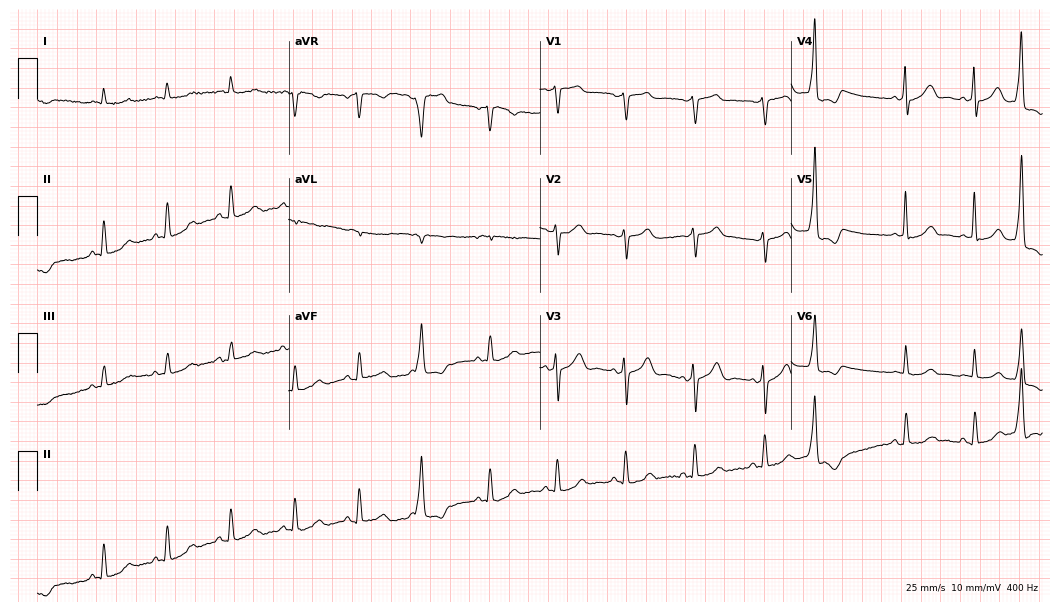
12-lead ECG from a 77-year-old man (10.2-second recording at 400 Hz). No first-degree AV block, right bundle branch block, left bundle branch block, sinus bradycardia, atrial fibrillation or sinus tachycardia recorded for this tracing.